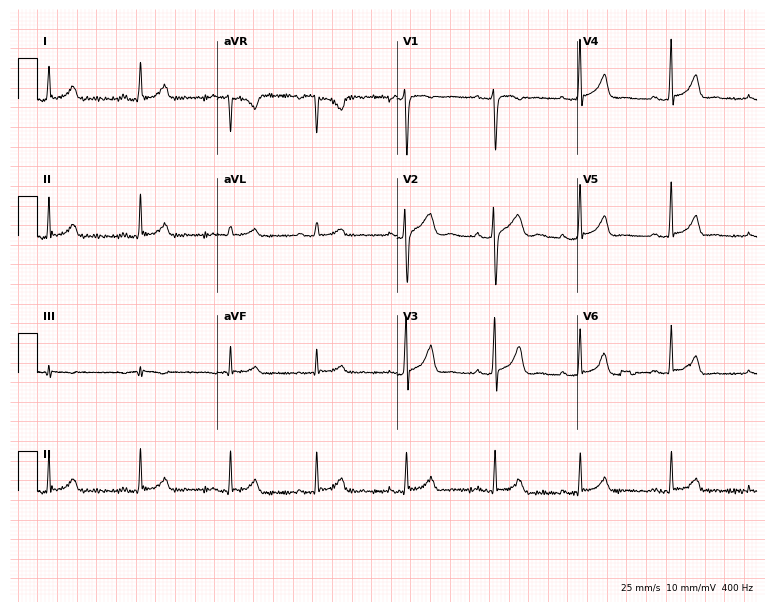
ECG — a 33-year-old woman. Labelled as a normal ECG.